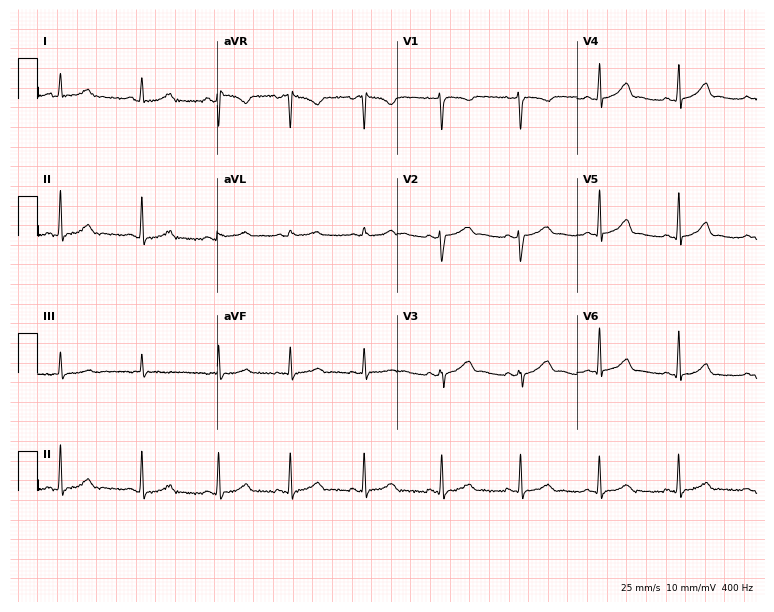
12-lead ECG from a female patient, 30 years old. Labelled as a normal ECG.